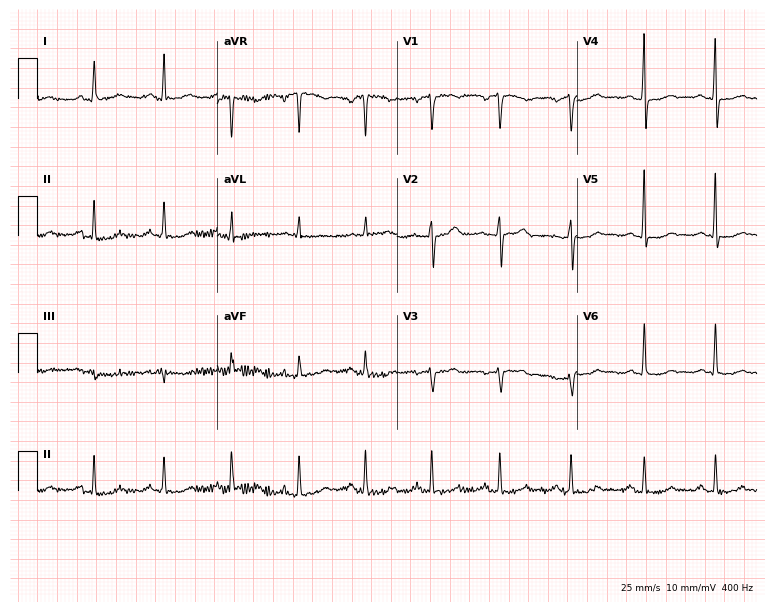
Standard 12-lead ECG recorded from a 56-year-old female (7.3-second recording at 400 Hz). None of these six findings is recorded: first-degree AV block, right bundle branch block (RBBB), left bundle branch block (LBBB), sinus bradycardia, atrial fibrillation (AF), sinus tachycardia. Findings outside these six are not listed.